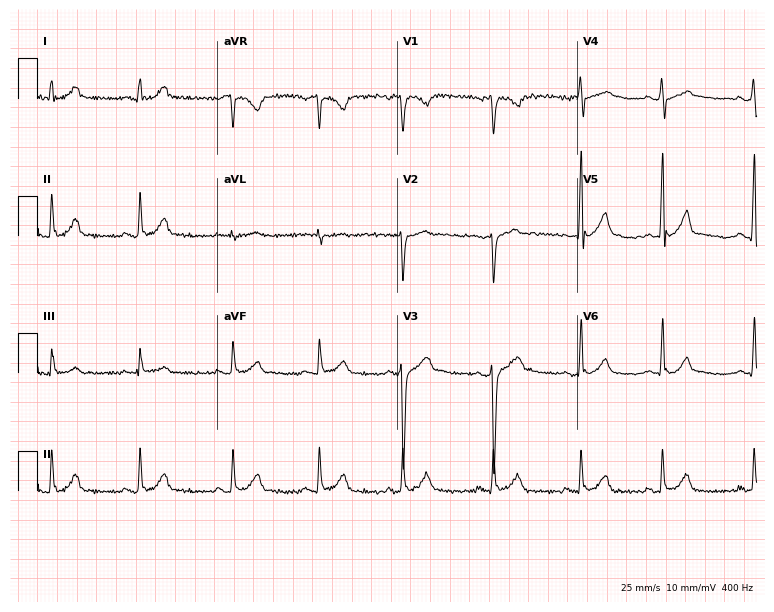
12-lead ECG from a 25-year-old male. Screened for six findings — first-degree AV block, right bundle branch block, left bundle branch block, sinus bradycardia, atrial fibrillation, sinus tachycardia — none is recorded. Other findings, if any, are not listed.